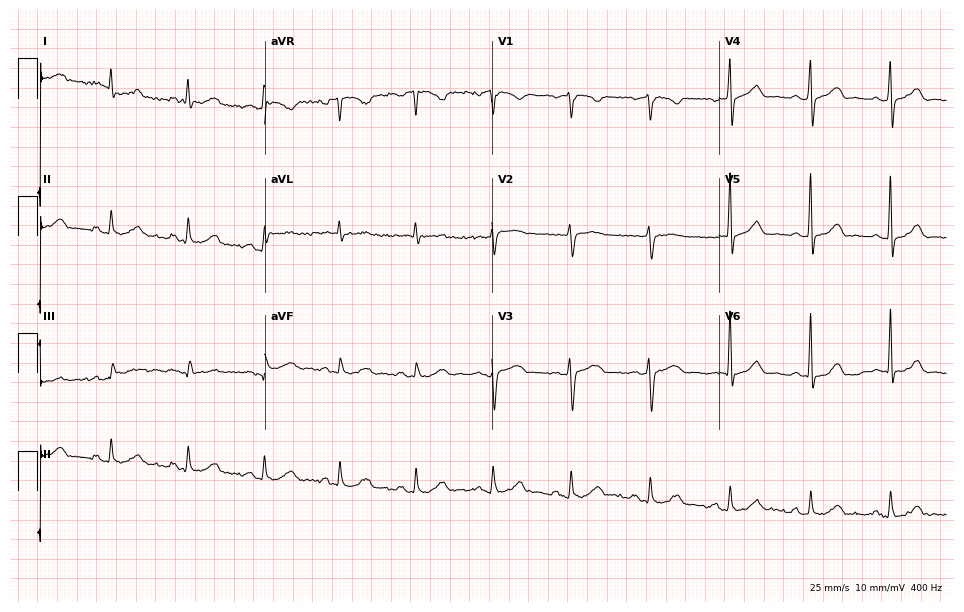
ECG (9.3-second recording at 400 Hz) — a 61-year-old man. Labelled as a normal ECG.